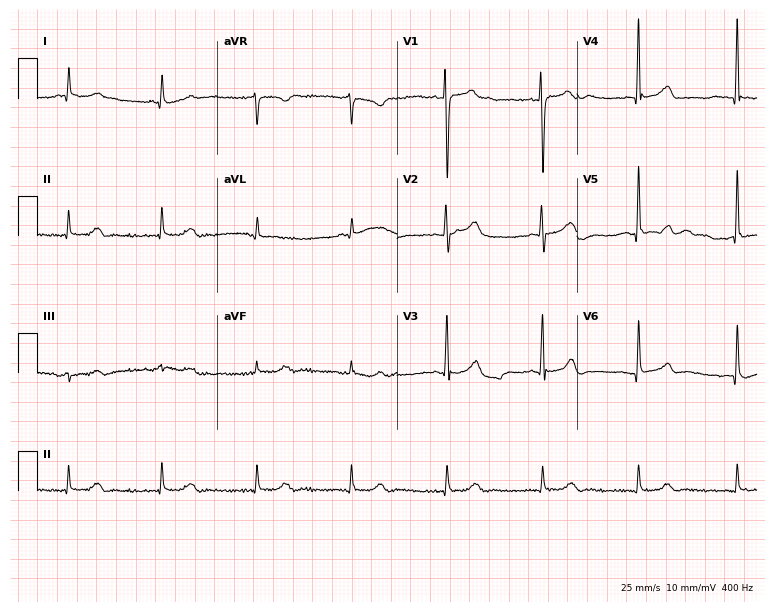
ECG (7.3-second recording at 400 Hz) — a 78-year-old male. Labelled as a normal ECG.